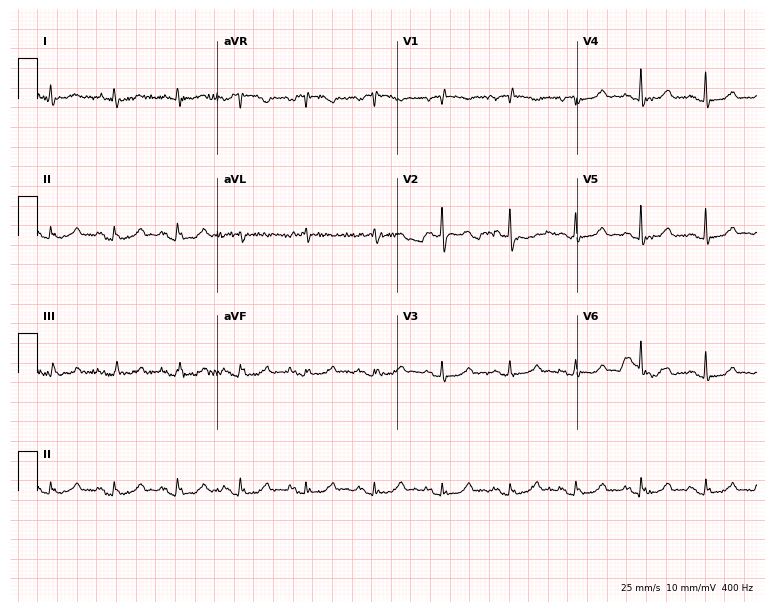
Resting 12-lead electrocardiogram. Patient: a woman, 79 years old. Read as a normal ECG.